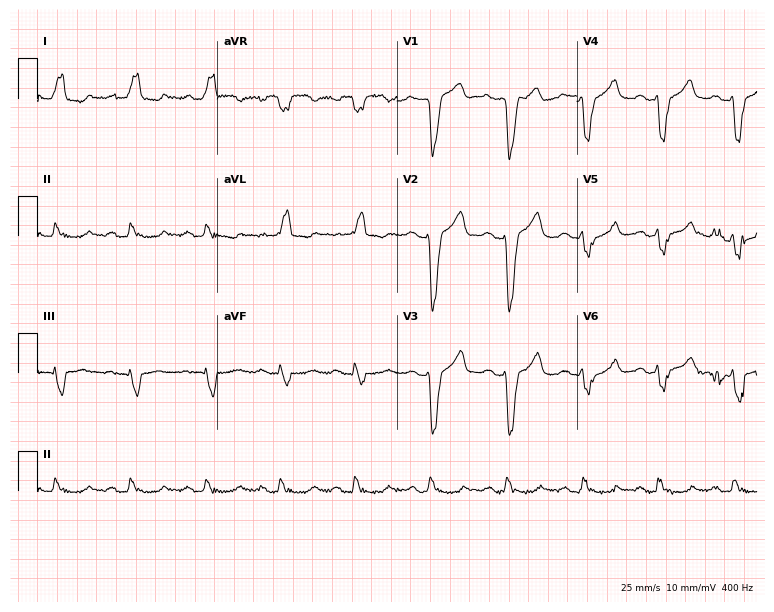
12-lead ECG from a 55-year-old woman (7.3-second recording at 400 Hz). No first-degree AV block, right bundle branch block, left bundle branch block, sinus bradycardia, atrial fibrillation or sinus tachycardia recorded for this tracing. Other findings, if any, are not listed.